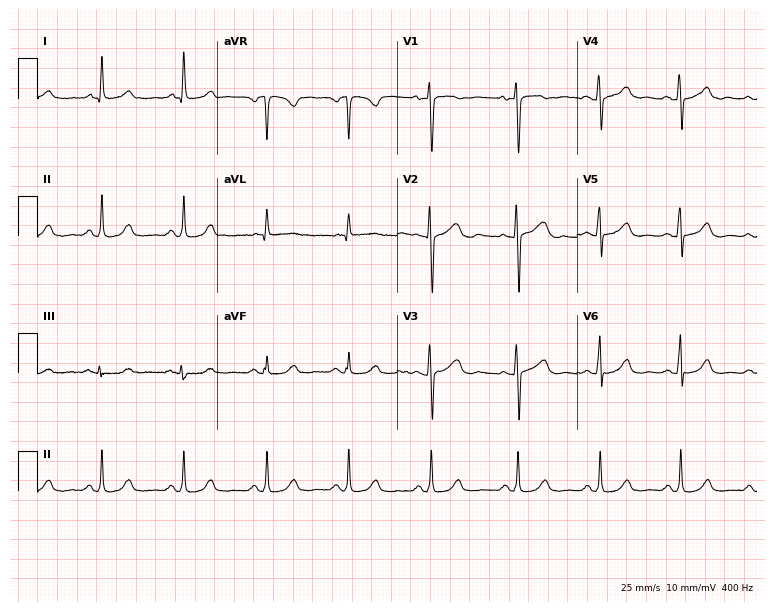
ECG — a 52-year-old female patient. Labelled as a normal ECG.